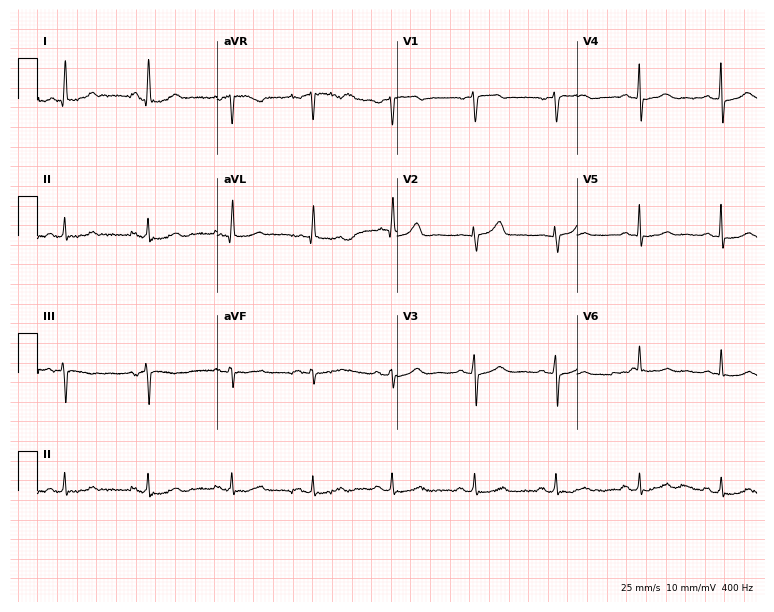
12-lead ECG (7.3-second recording at 400 Hz) from a female patient, 53 years old. Labelled as a normal ECG.